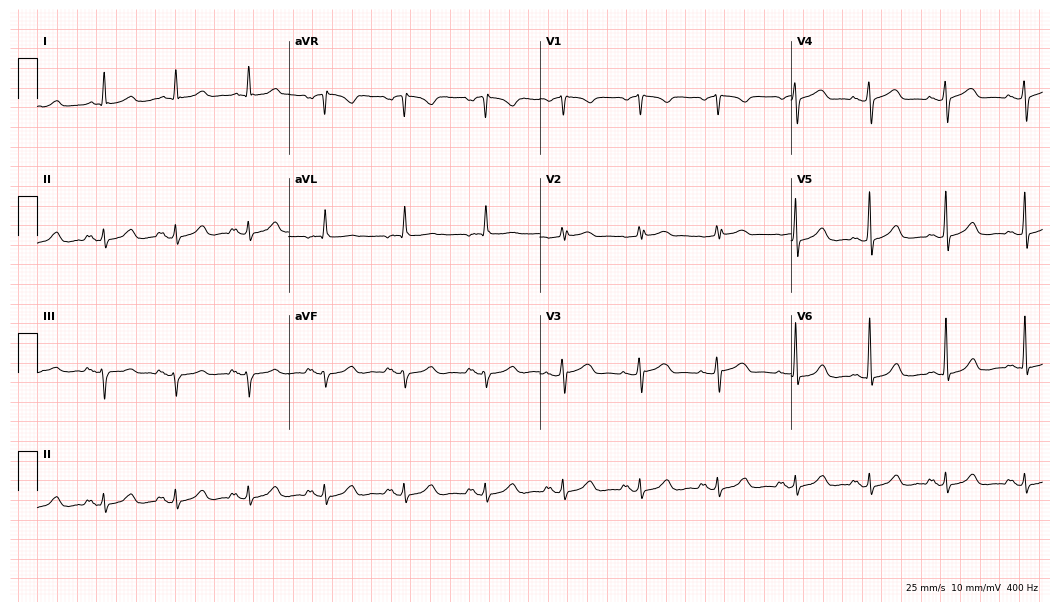
Standard 12-lead ECG recorded from a female patient, 68 years old (10.2-second recording at 400 Hz). None of these six findings is recorded: first-degree AV block, right bundle branch block, left bundle branch block, sinus bradycardia, atrial fibrillation, sinus tachycardia. Only these six findings were labelled.